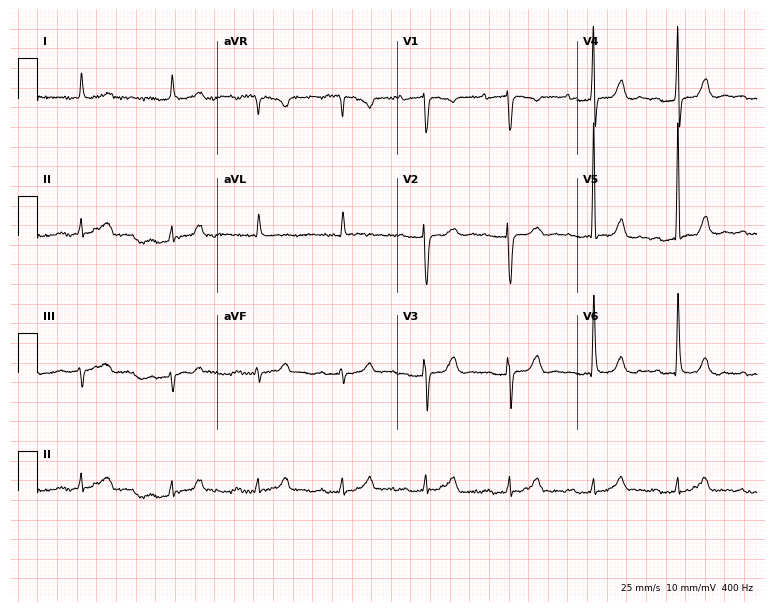
Electrocardiogram (7.3-second recording at 400 Hz), a female, 85 years old. Interpretation includes first-degree AV block.